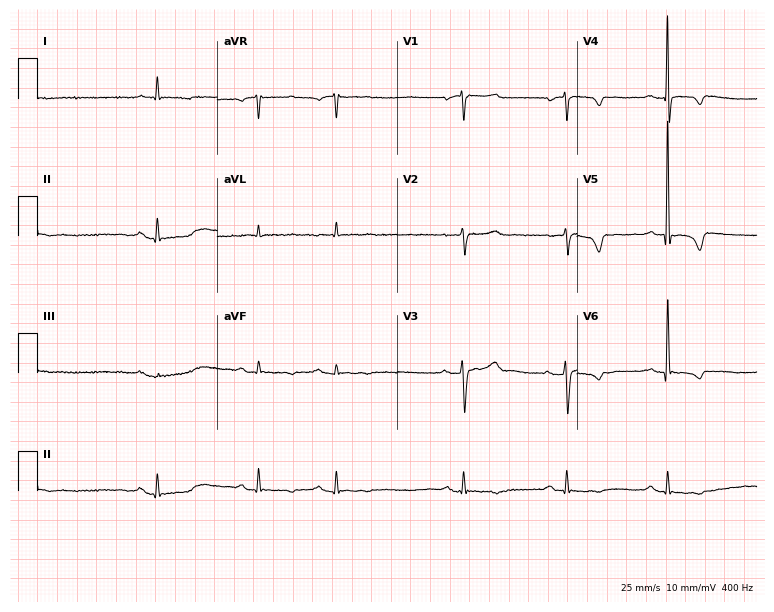
ECG (7.3-second recording at 400 Hz) — a female, 80 years old. Screened for six findings — first-degree AV block, right bundle branch block, left bundle branch block, sinus bradycardia, atrial fibrillation, sinus tachycardia — none is recorded. Findings outside these six are not listed.